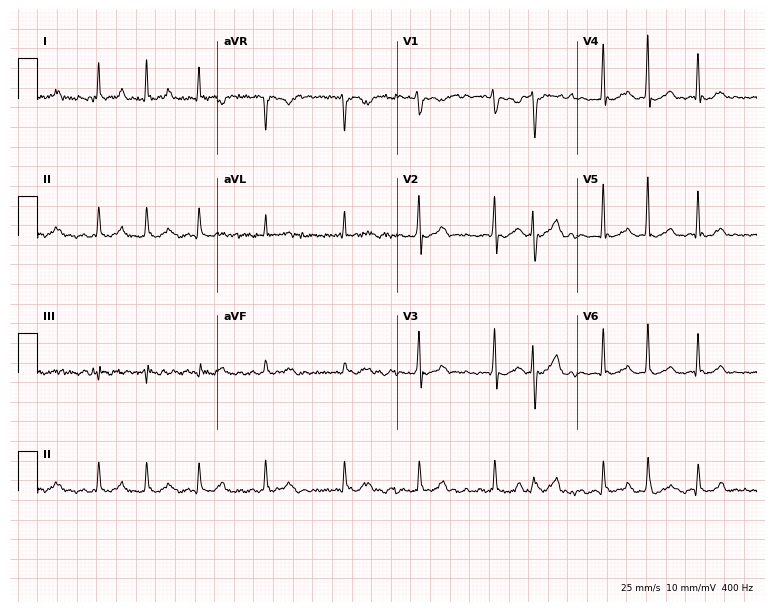
Electrocardiogram (7.3-second recording at 400 Hz), a male, 64 years old. Interpretation includes atrial fibrillation (AF).